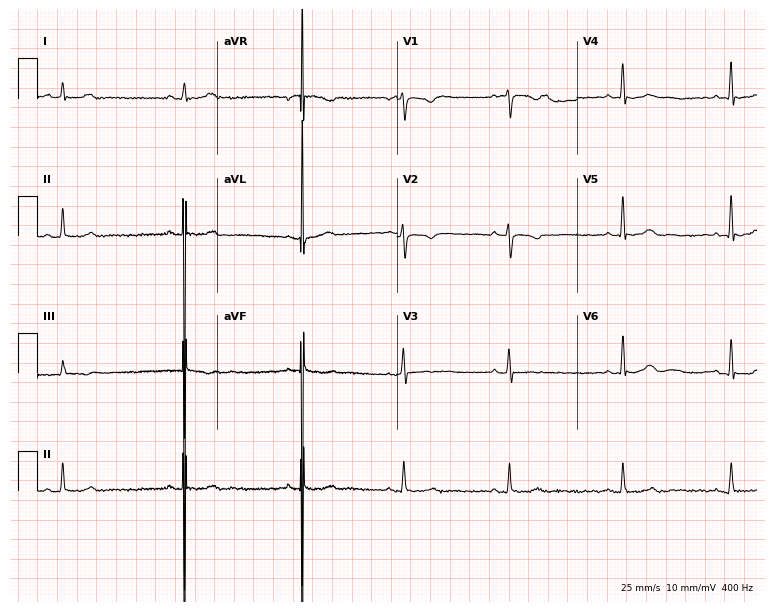
Electrocardiogram, a 27-year-old woman. Overall reading on record: normal ECG.